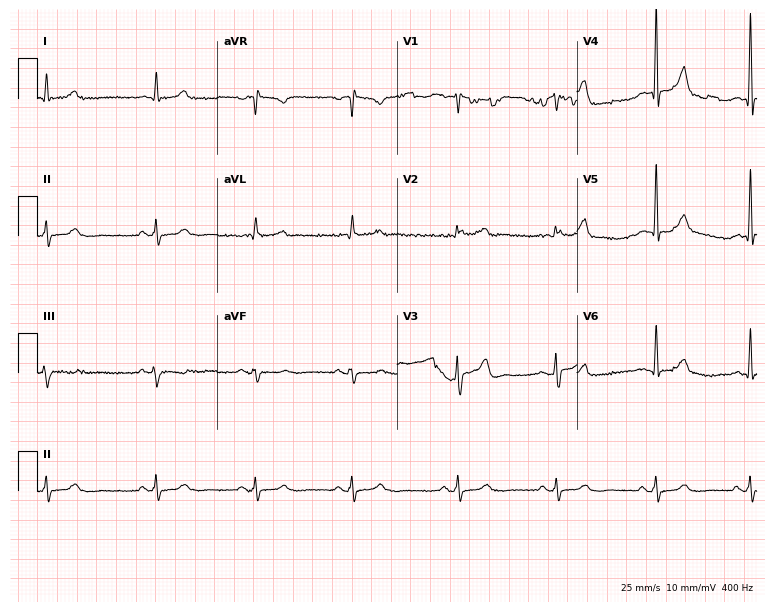
12-lead ECG from a male, 51 years old (7.3-second recording at 400 Hz). Recorded interpretation: within normal limits.